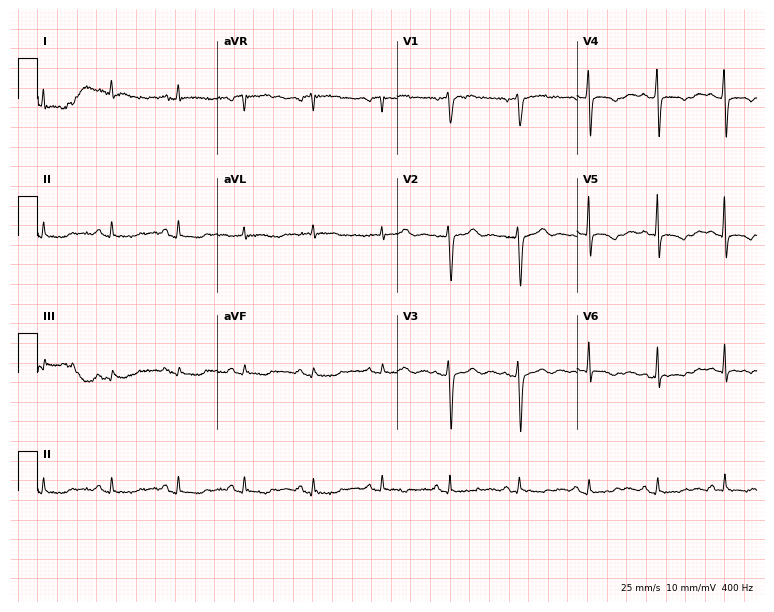
Resting 12-lead electrocardiogram (7.3-second recording at 400 Hz). Patient: a woman, 50 years old. None of these six findings is recorded: first-degree AV block, right bundle branch block, left bundle branch block, sinus bradycardia, atrial fibrillation, sinus tachycardia.